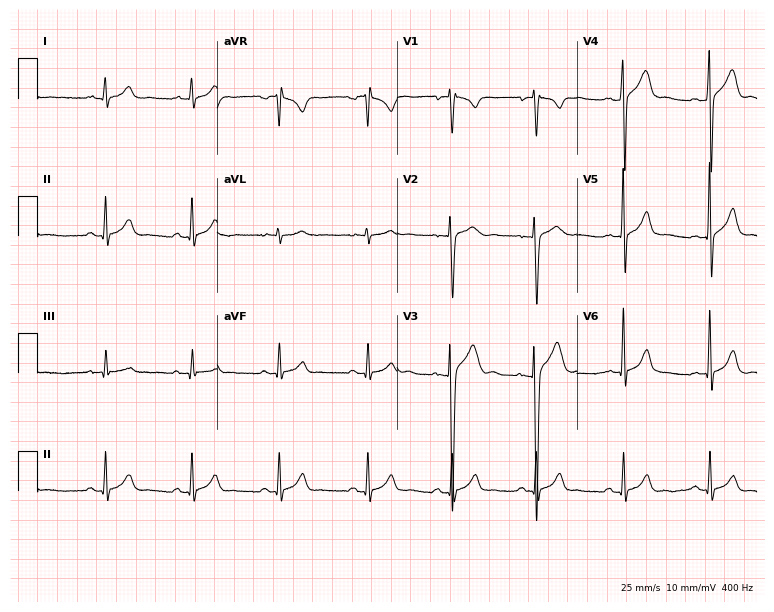
Electrocardiogram, a male, 24 years old. Overall reading on record: normal ECG.